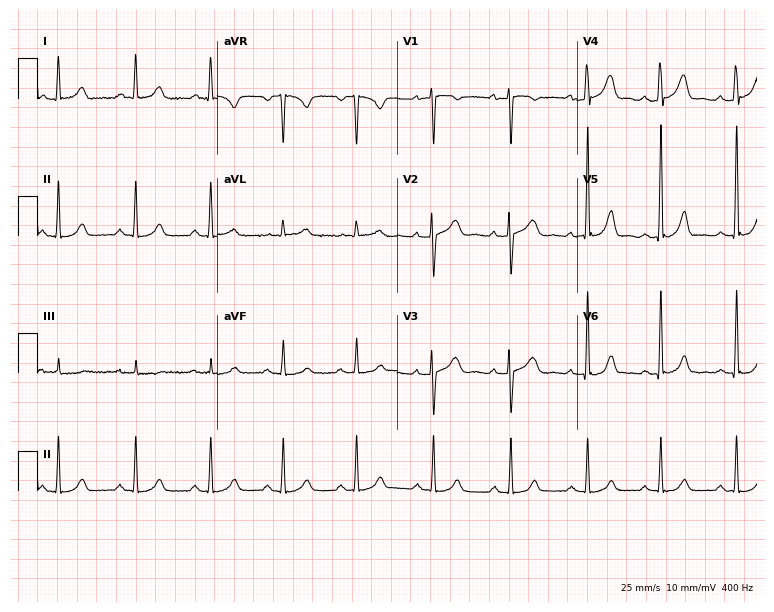
12-lead ECG from an 18-year-old female patient (7.3-second recording at 400 Hz). No first-degree AV block, right bundle branch block, left bundle branch block, sinus bradycardia, atrial fibrillation or sinus tachycardia recorded for this tracing. Only these six findings were labelled.